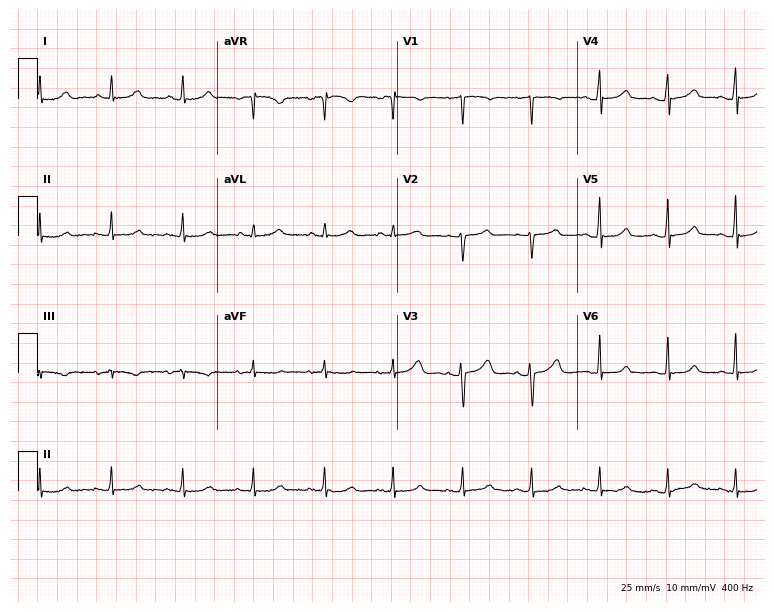
Resting 12-lead electrocardiogram. Patient: a female, 39 years old. None of these six findings is recorded: first-degree AV block, right bundle branch block (RBBB), left bundle branch block (LBBB), sinus bradycardia, atrial fibrillation (AF), sinus tachycardia. Only these six findings were labelled.